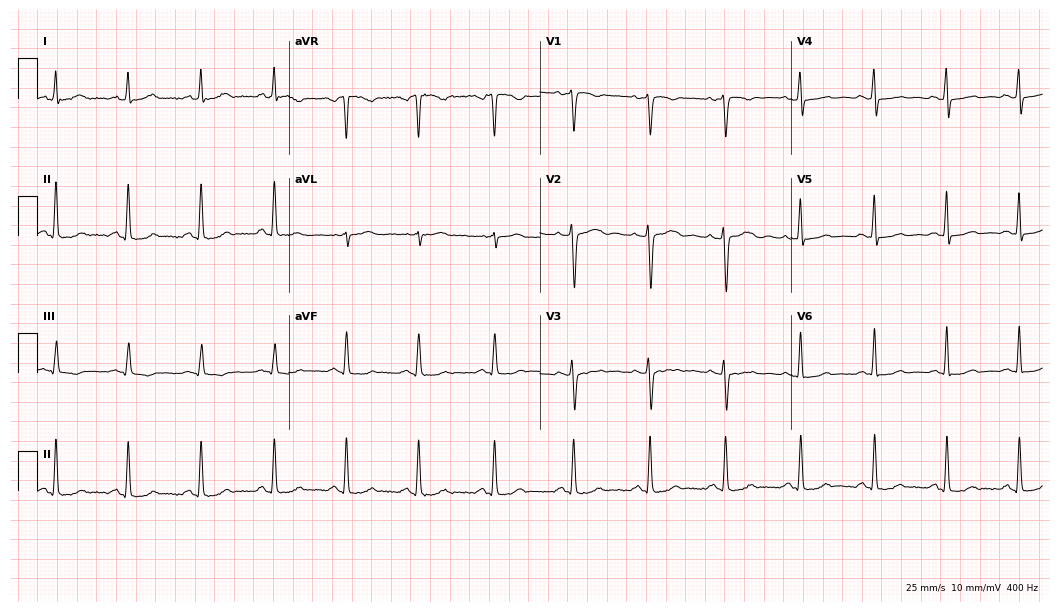
12-lead ECG from a female, 39 years old (10.2-second recording at 400 Hz). No first-degree AV block, right bundle branch block (RBBB), left bundle branch block (LBBB), sinus bradycardia, atrial fibrillation (AF) or sinus tachycardia recorded for this tracing.